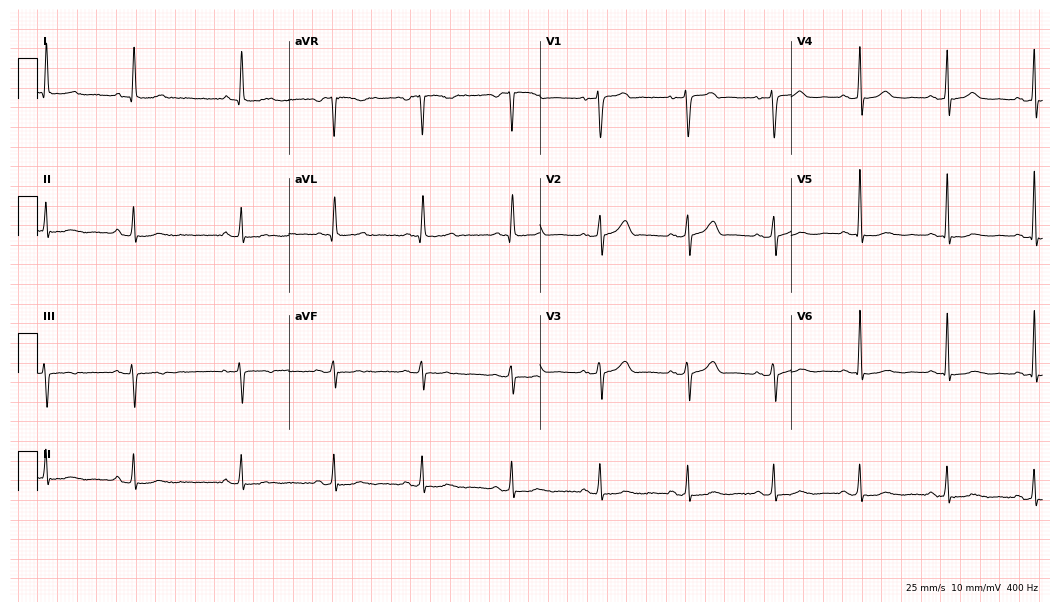
12-lead ECG from a woman, 68 years old (10.2-second recording at 400 Hz). No first-degree AV block, right bundle branch block (RBBB), left bundle branch block (LBBB), sinus bradycardia, atrial fibrillation (AF) or sinus tachycardia recorded for this tracing.